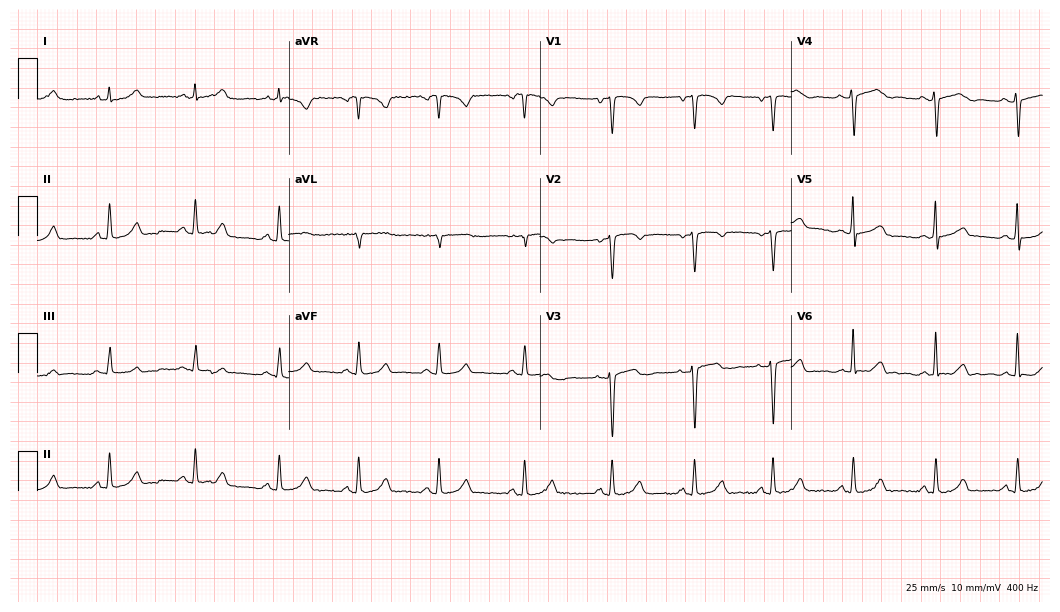
Electrocardiogram, a female patient, 34 years old. Overall reading on record: normal ECG.